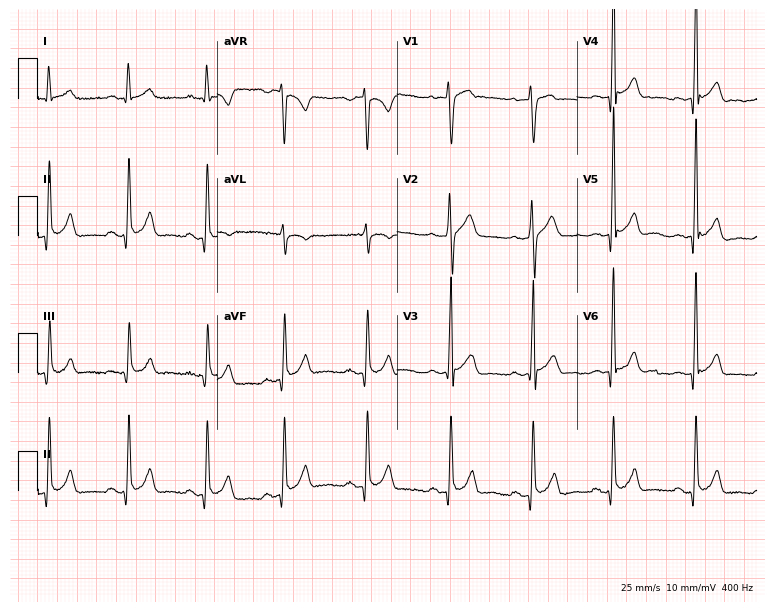
ECG (7.3-second recording at 400 Hz) — a male, 33 years old. Screened for six findings — first-degree AV block, right bundle branch block, left bundle branch block, sinus bradycardia, atrial fibrillation, sinus tachycardia — none is recorded.